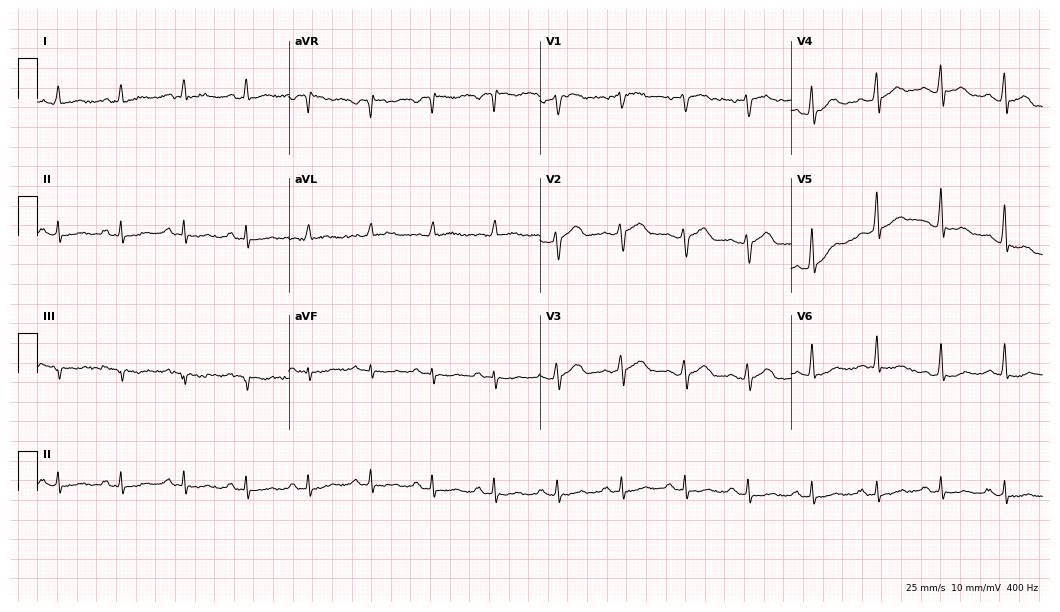
Resting 12-lead electrocardiogram (10.2-second recording at 400 Hz). Patient: an 80-year-old male. Read as a normal ECG.